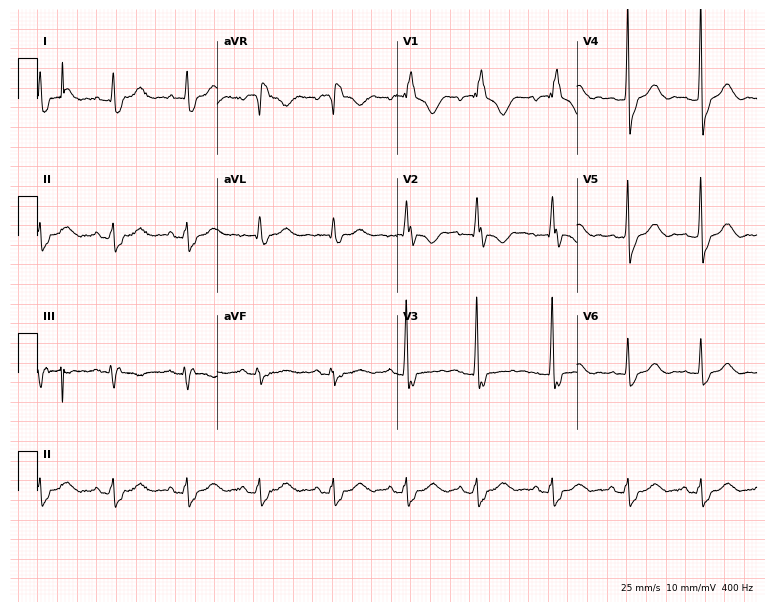
Resting 12-lead electrocardiogram. Patient: a woman, 55 years old. The tracing shows right bundle branch block.